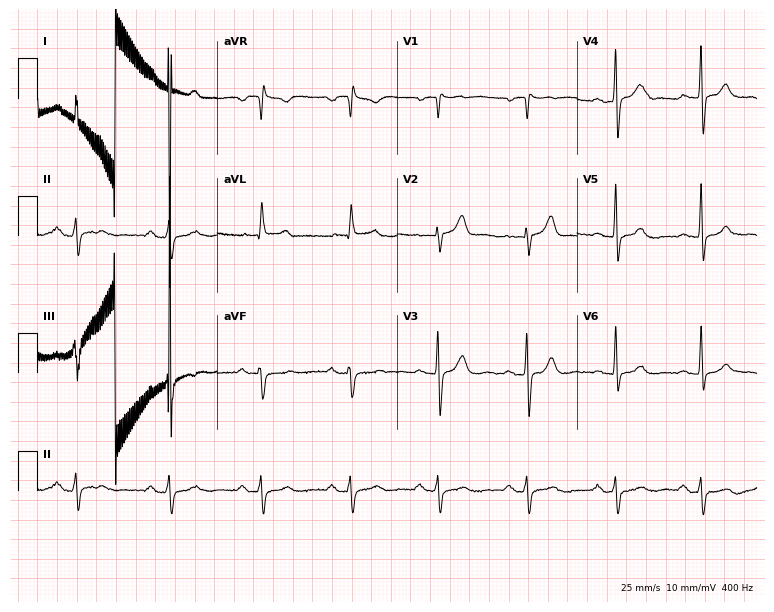
12-lead ECG (7.3-second recording at 400 Hz) from a 69-year-old male patient. Screened for six findings — first-degree AV block, right bundle branch block, left bundle branch block, sinus bradycardia, atrial fibrillation, sinus tachycardia — none is recorded. Only these six findings were labelled.